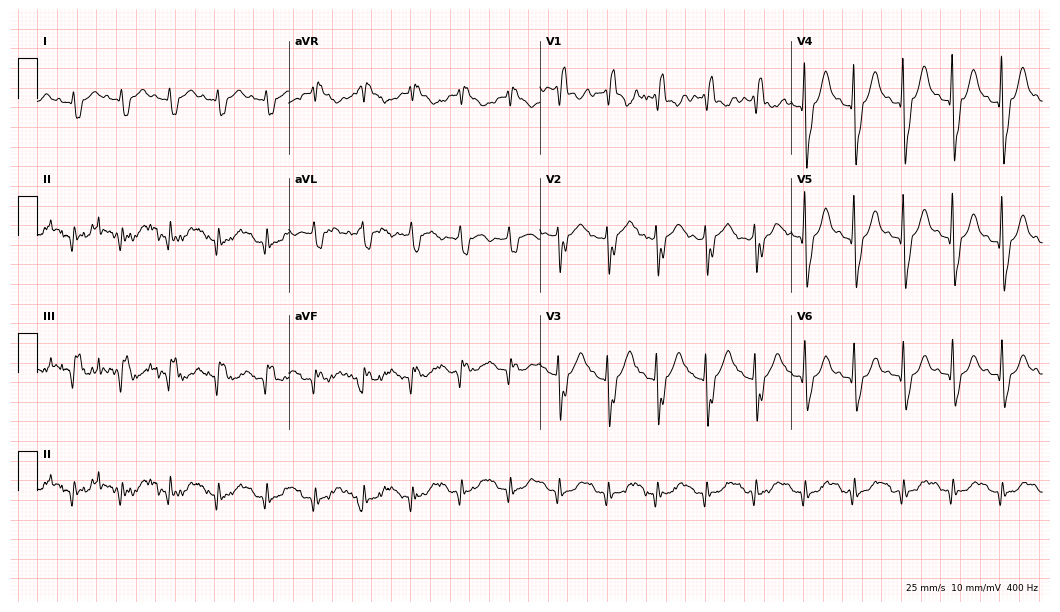
ECG (10.2-second recording at 400 Hz) — a 76-year-old man. Findings include right bundle branch block (RBBB), sinus tachycardia (a sinus rate of 100 beats per minute or more).